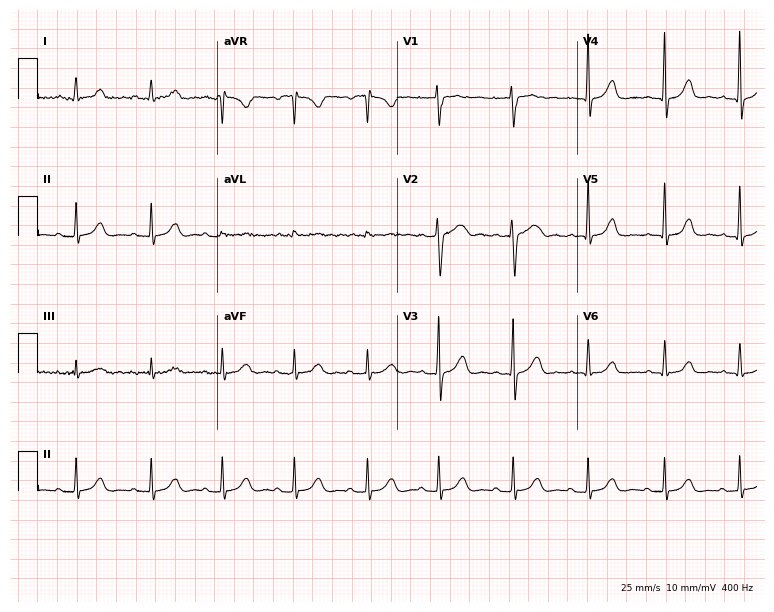
12-lead ECG (7.3-second recording at 400 Hz) from a 40-year-old female. Labelled as a normal ECG.